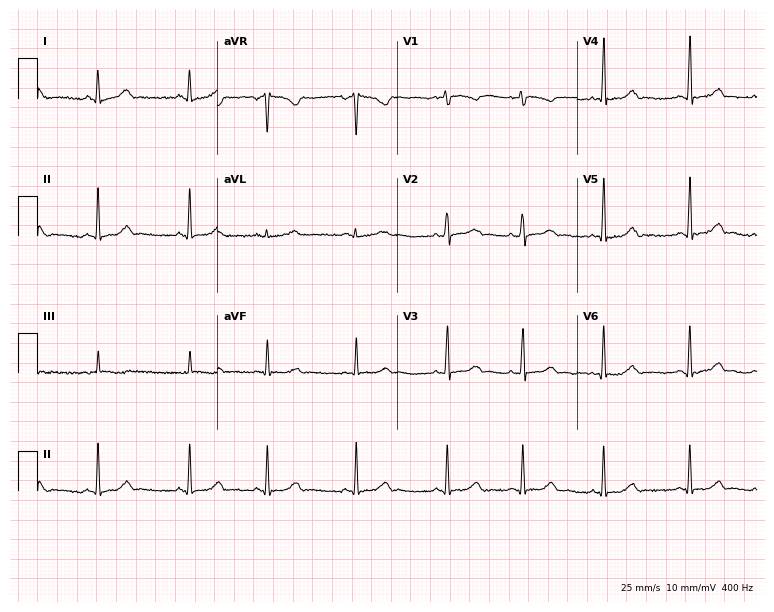
Standard 12-lead ECG recorded from a female patient, 23 years old (7.3-second recording at 400 Hz). None of these six findings is recorded: first-degree AV block, right bundle branch block, left bundle branch block, sinus bradycardia, atrial fibrillation, sinus tachycardia.